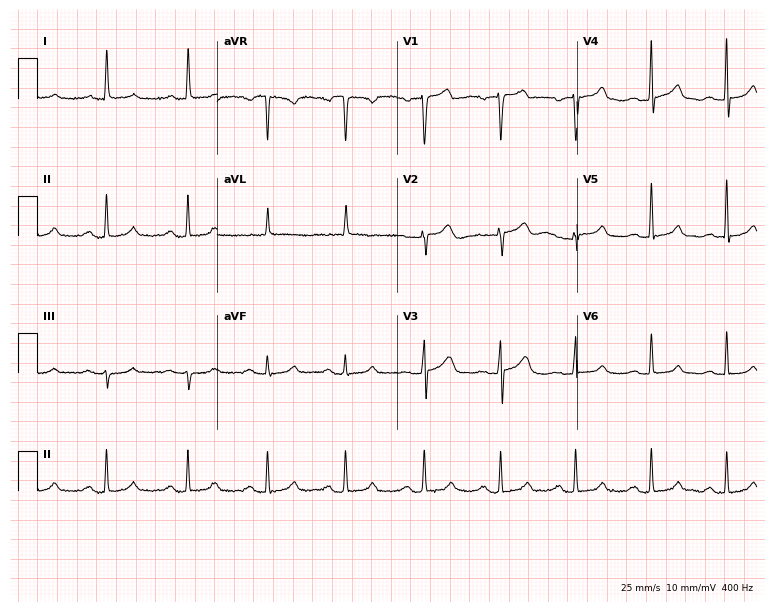
ECG (7.3-second recording at 400 Hz) — a 61-year-old woman. Labelled as a normal ECG.